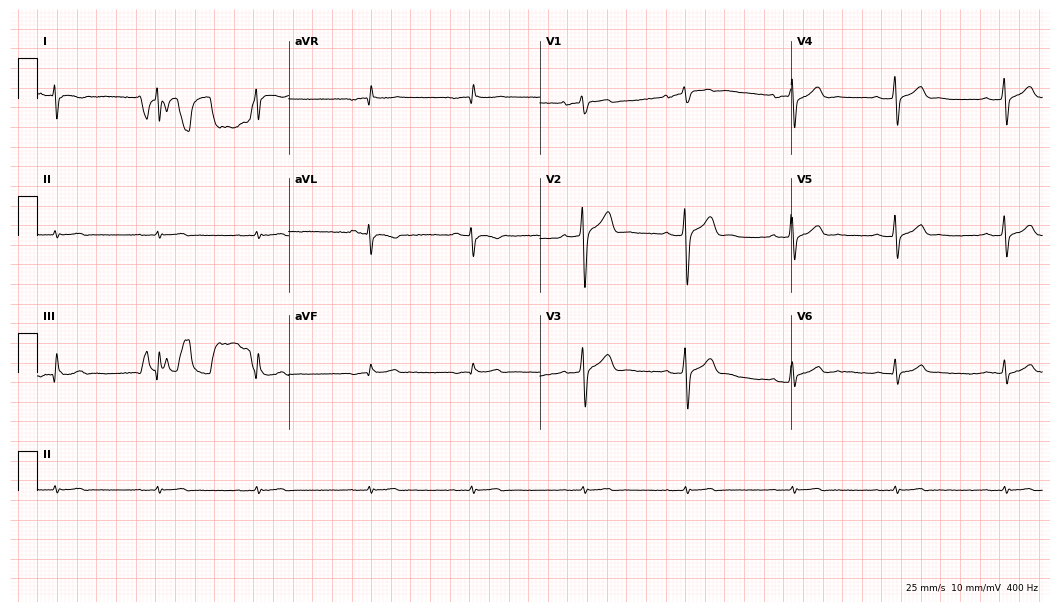
ECG (10.2-second recording at 400 Hz) — a 36-year-old male. Screened for six findings — first-degree AV block, right bundle branch block, left bundle branch block, sinus bradycardia, atrial fibrillation, sinus tachycardia — none is recorded. Other findings, if any, are not listed.